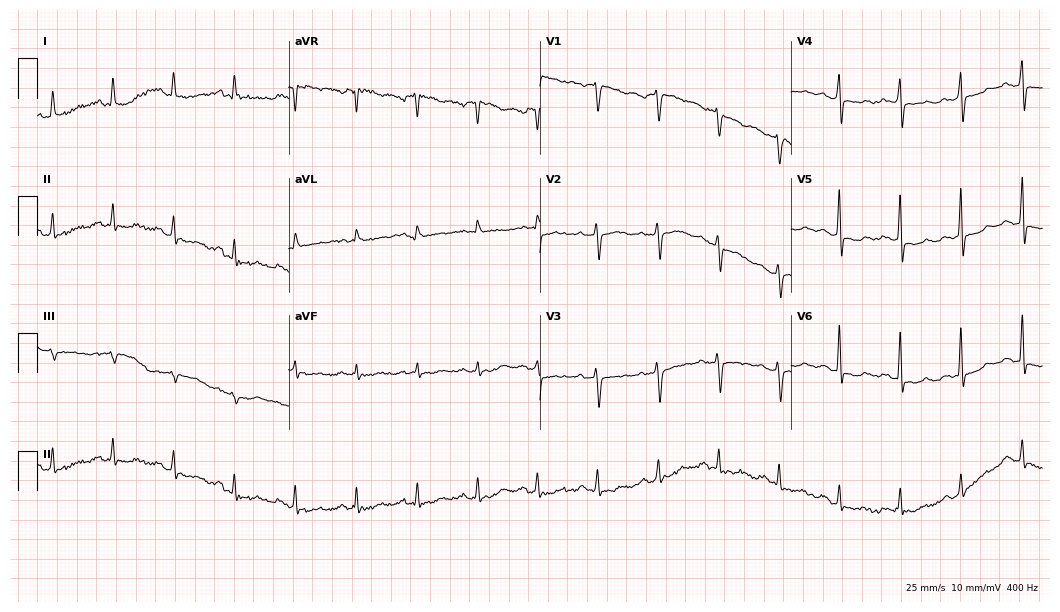
ECG (10.2-second recording at 400 Hz) — a 46-year-old female patient. Screened for six findings — first-degree AV block, right bundle branch block, left bundle branch block, sinus bradycardia, atrial fibrillation, sinus tachycardia — none is recorded. Only these six findings were labelled.